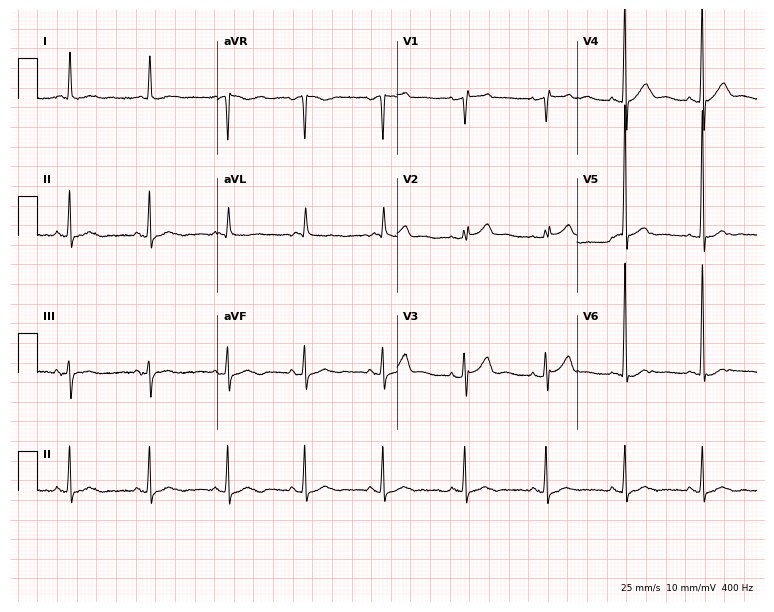
12-lead ECG from an 84-year-old female (7.3-second recording at 400 Hz). No first-degree AV block, right bundle branch block, left bundle branch block, sinus bradycardia, atrial fibrillation or sinus tachycardia recorded for this tracing. Other findings, if any, are not listed.